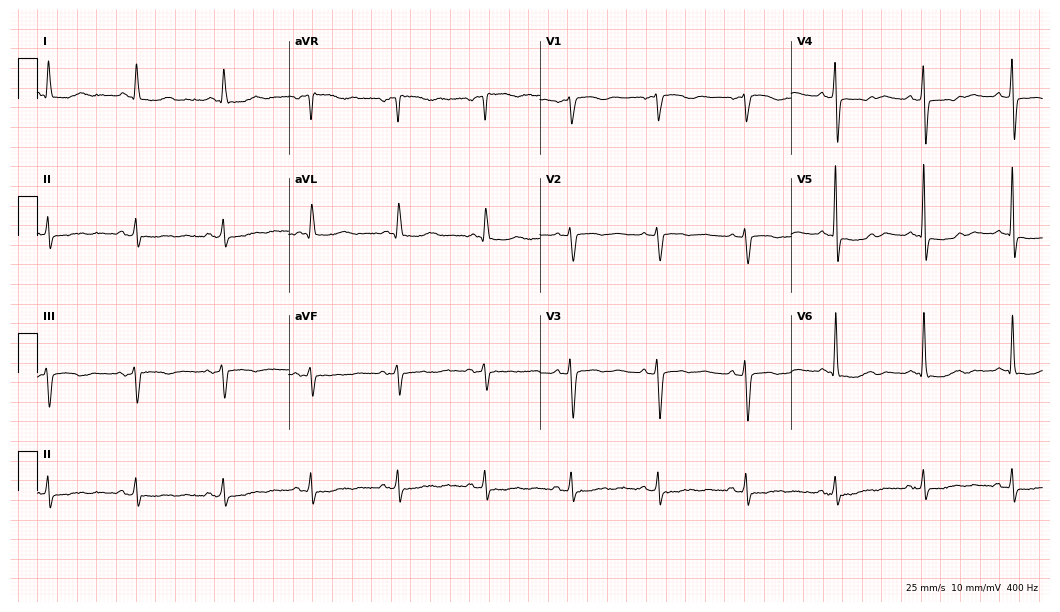
Electrocardiogram, a 76-year-old man. Of the six screened findings (first-degree AV block, right bundle branch block (RBBB), left bundle branch block (LBBB), sinus bradycardia, atrial fibrillation (AF), sinus tachycardia), none is recorded. Only these six findings were labelled.